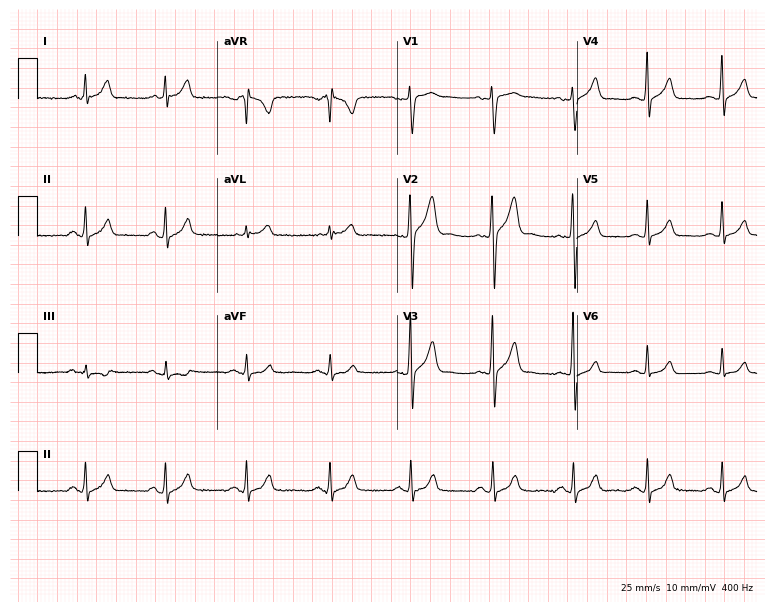
ECG (7.3-second recording at 400 Hz) — a male patient, 25 years old. Labelled as a normal ECG.